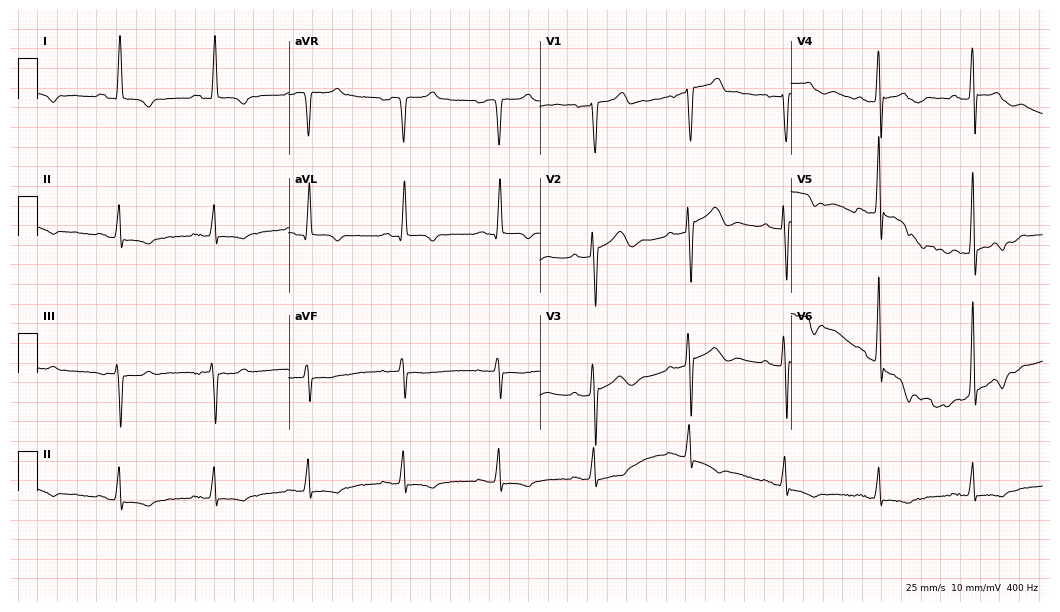
12-lead ECG from a 79-year-old male patient (10.2-second recording at 400 Hz). No first-degree AV block, right bundle branch block, left bundle branch block, sinus bradycardia, atrial fibrillation or sinus tachycardia recorded for this tracing. Other findings, if any, are not listed.